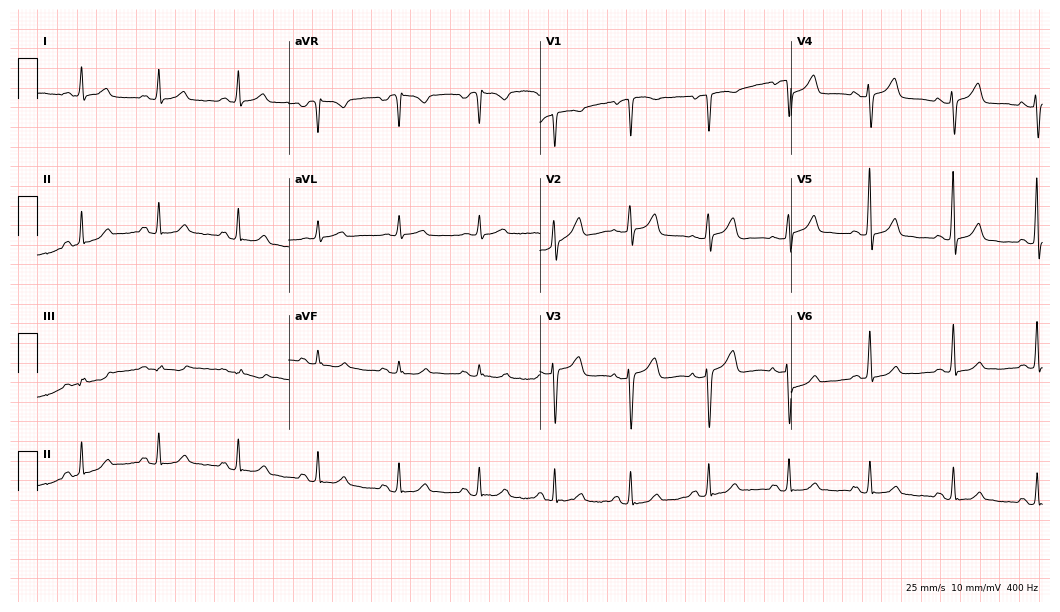
Electrocardiogram, a 55-year-old female. Of the six screened findings (first-degree AV block, right bundle branch block, left bundle branch block, sinus bradycardia, atrial fibrillation, sinus tachycardia), none is recorded. Other findings, if any, are not listed.